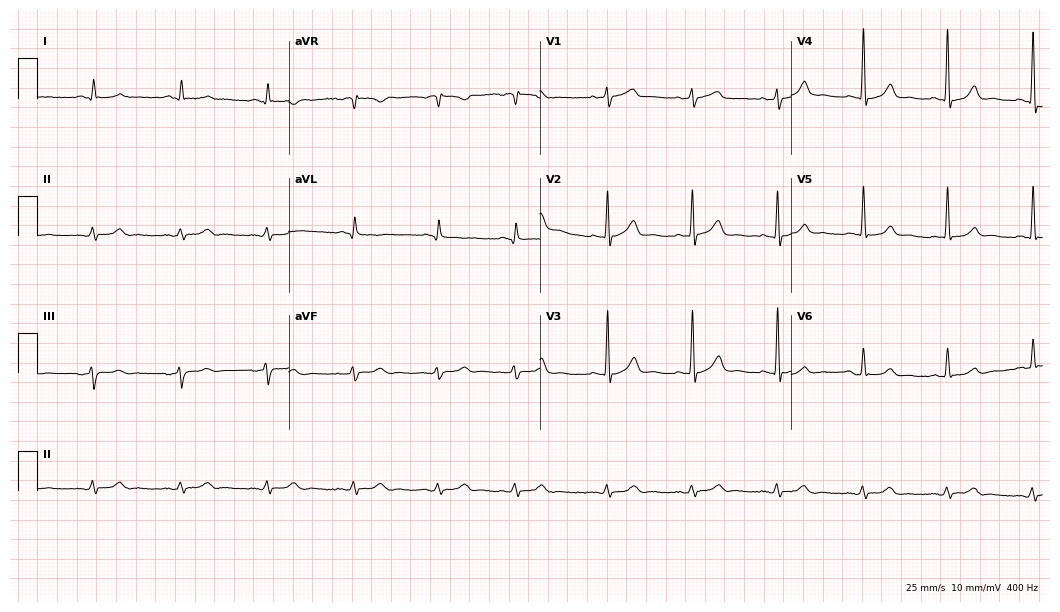
Standard 12-lead ECG recorded from an 80-year-old male patient (10.2-second recording at 400 Hz). Read as a normal ECG.